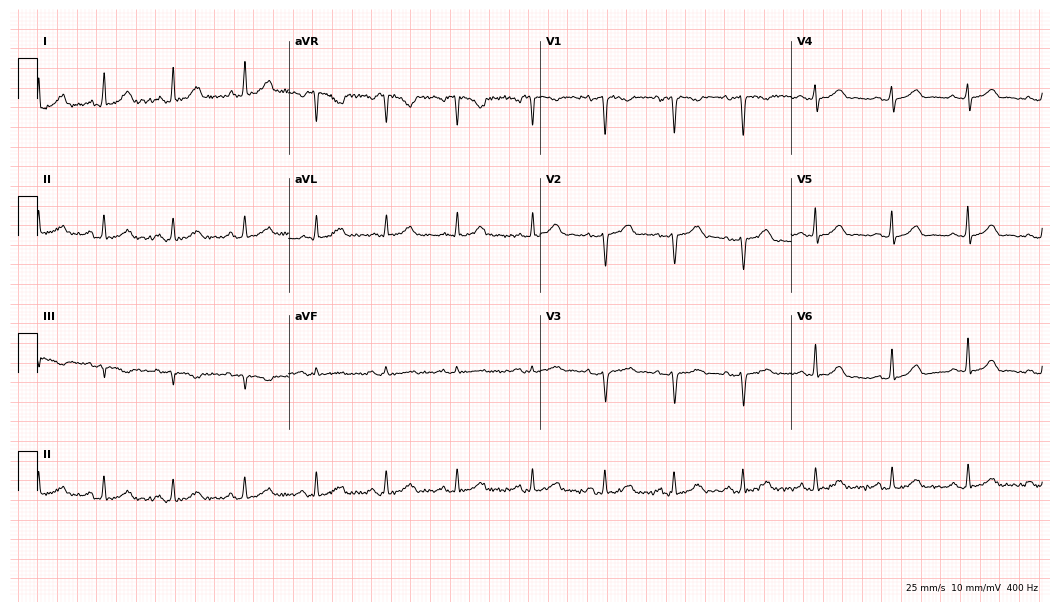
Electrocardiogram (10.2-second recording at 400 Hz), a woman, 39 years old. Of the six screened findings (first-degree AV block, right bundle branch block, left bundle branch block, sinus bradycardia, atrial fibrillation, sinus tachycardia), none is recorded.